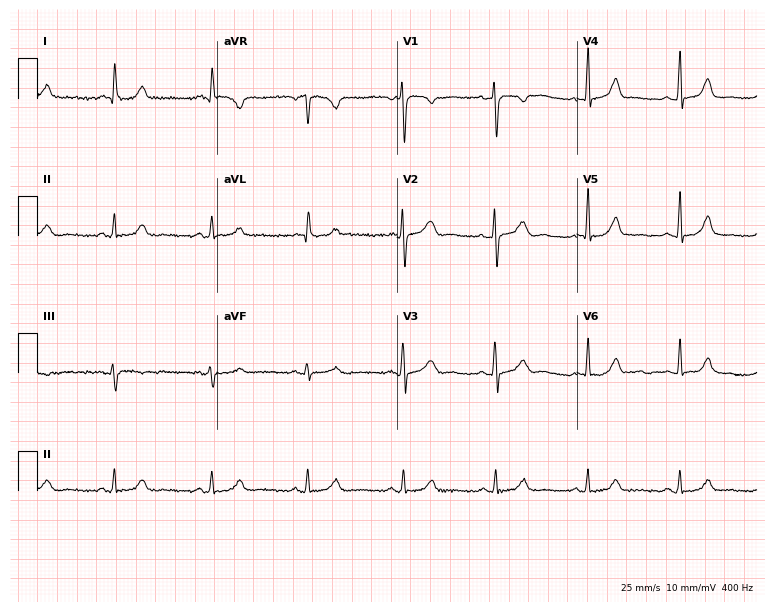
Electrocardiogram, a female patient, 57 years old. Overall reading on record: normal ECG.